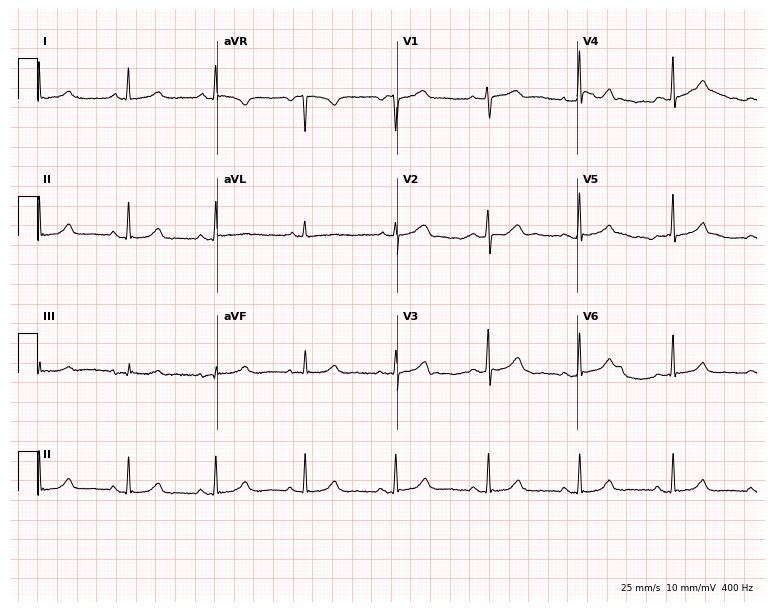
12-lead ECG from a 40-year-old woman. Recorded interpretation: within normal limits.